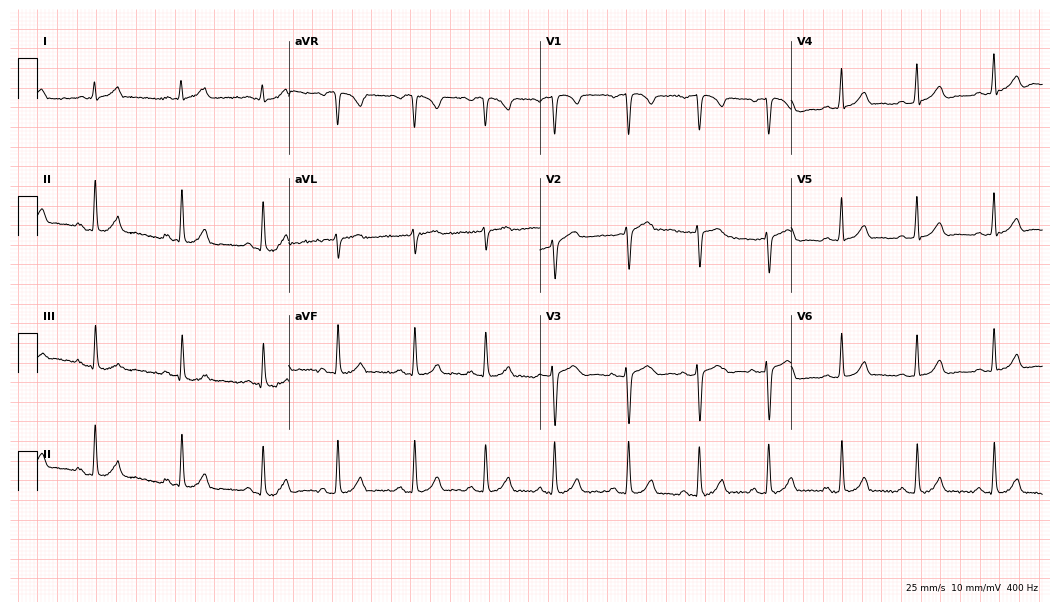
Resting 12-lead electrocardiogram. Patient: a female, 22 years old. None of these six findings is recorded: first-degree AV block, right bundle branch block, left bundle branch block, sinus bradycardia, atrial fibrillation, sinus tachycardia.